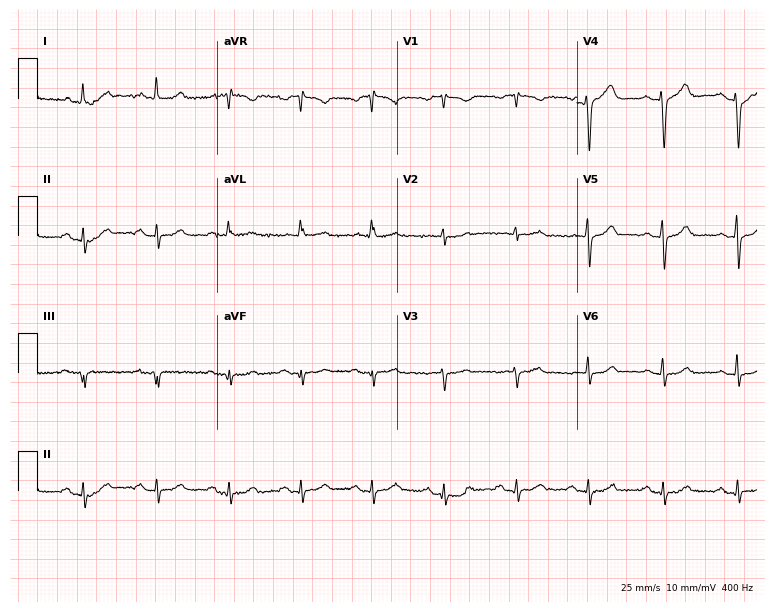
Standard 12-lead ECG recorded from a male patient, 59 years old (7.3-second recording at 400 Hz). None of these six findings is recorded: first-degree AV block, right bundle branch block (RBBB), left bundle branch block (LBBB), sinus bradycardia, atrial fibrillation (AF), sinus tachycardia. Findings outside these six are not listed.